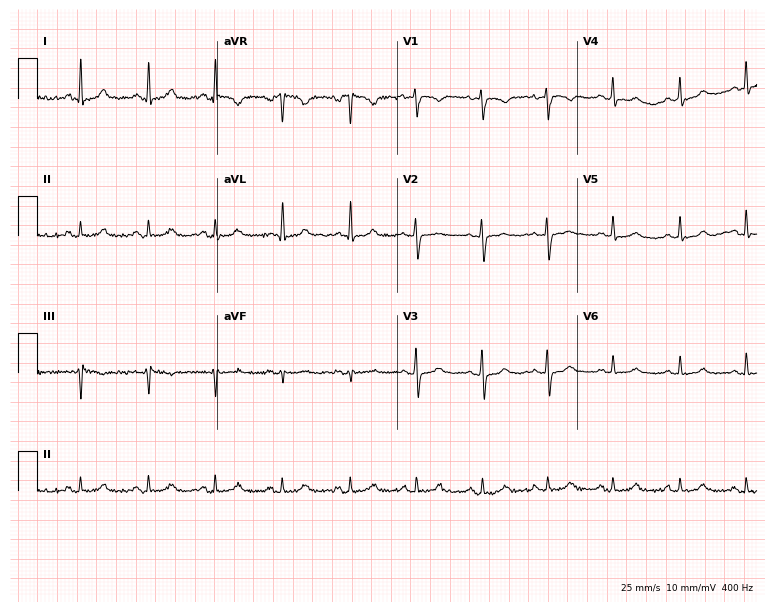
ECG (7.3-second recording at 400 Hz) — a 46-year-old female patient. Labelled as a normal ECG.